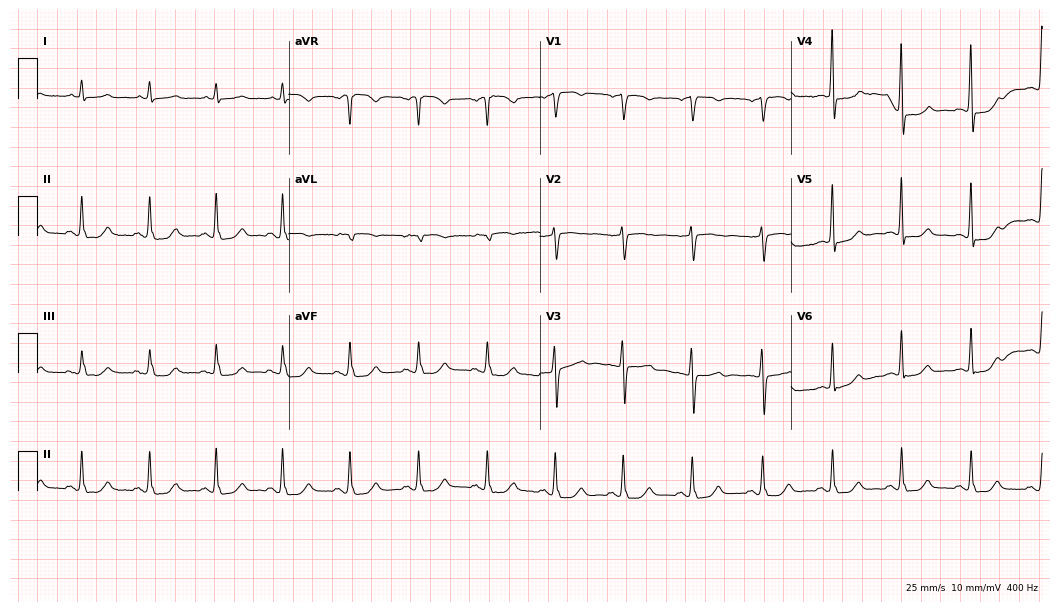
12-lead ECG from a female patient, 66 years old. Screened for six findings — first-degree AV block, right bundle branch block, left bundle branch block, sinus bradycardia, atrial fibrillation, sinus tachycardia — none is recorded. Other findings, if any, are not listed.